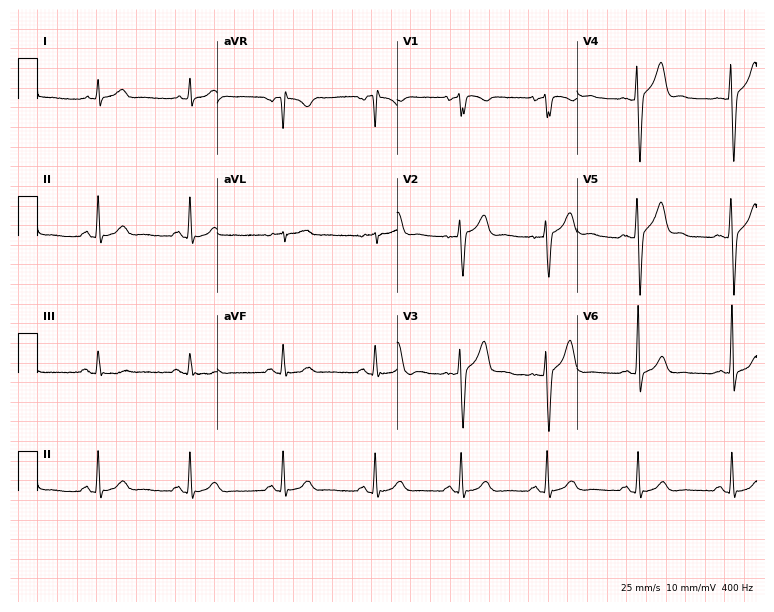
12-lead ECG from a 49-year-old male. Recorded interpretation: within normal limits.